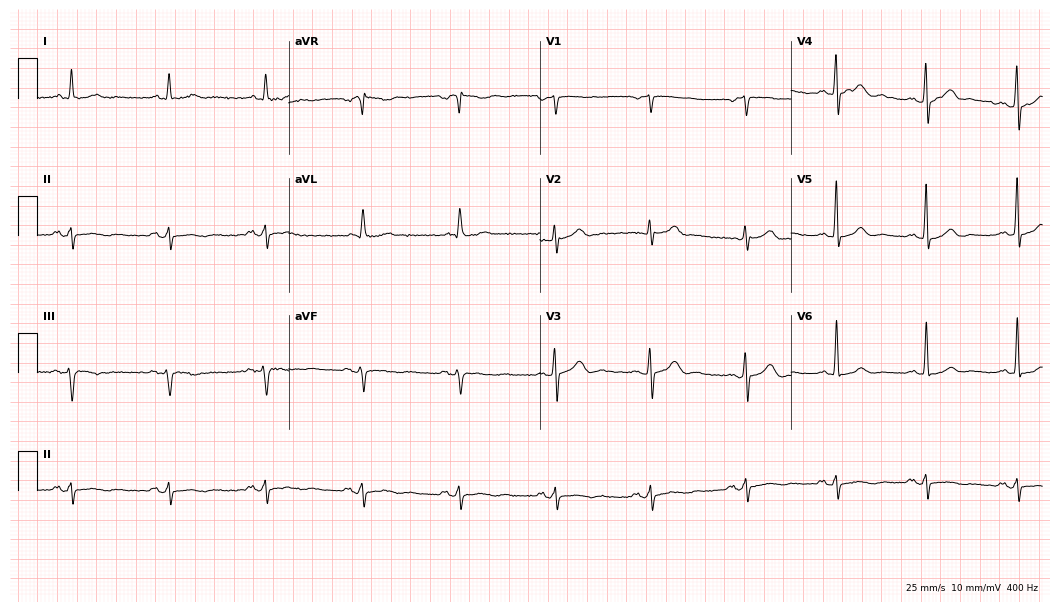
12-lead ECG (10.2-second recording at 400 Hz) from a male, 65 years old. Screened for six findings — first-degree AV block, right bundle branch block, left bundle branch block, sinus bradycardia, atrial fibrillation, sinus tachycardia — none is recorded.